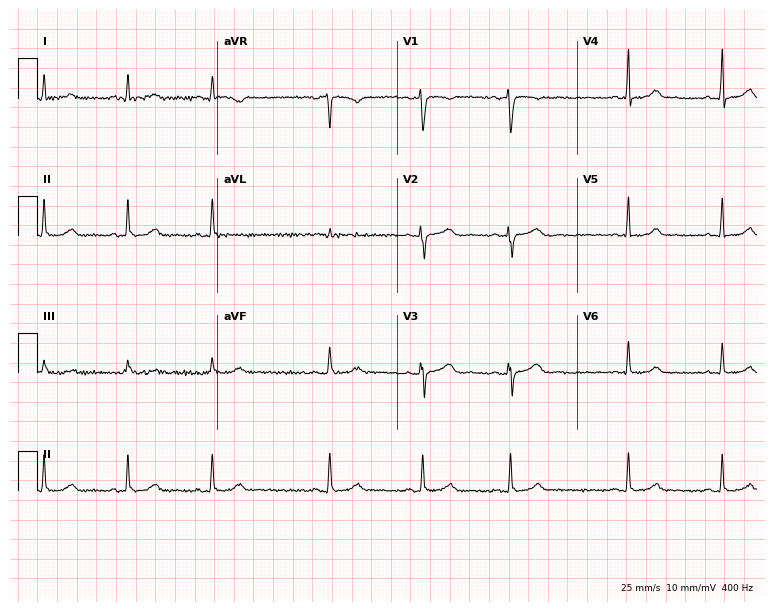
Resting 12-lead electrocardiogram. Patient: a female, 17 years old. Read as a normal ECG.